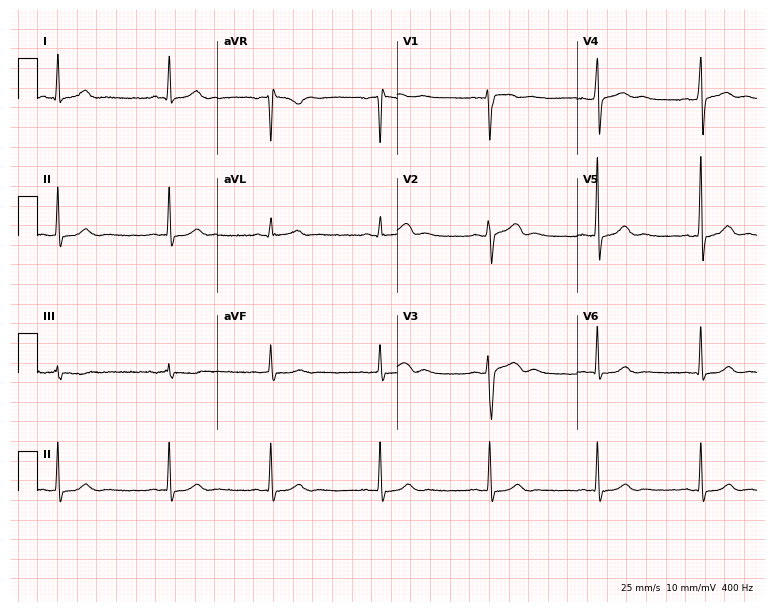
Electrocardiogram (7.3-second recording at 400 Hz), a male patient, 35 years old. Of the six screened findings (first-degree AV block, right bundle branch block, left bundle branch block, sinus bradycardia, atrial fibrillation, sinus tachycardia), none is recorded. Only these six findings were labelled.